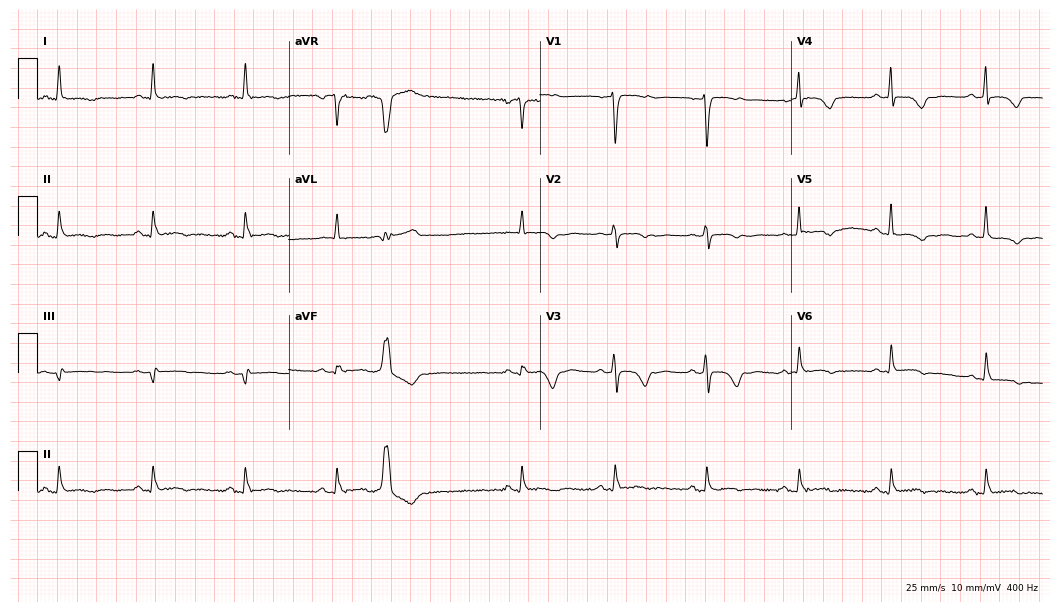
ECG — a woman, 66 years old. Screened for six findings — first-degree AV block, right bundle branch block, left bundle branch block, sinus bradycardia, atrial fibrillation, sinus tachycardia — none is recorded. Other findings, if any, are not listed.